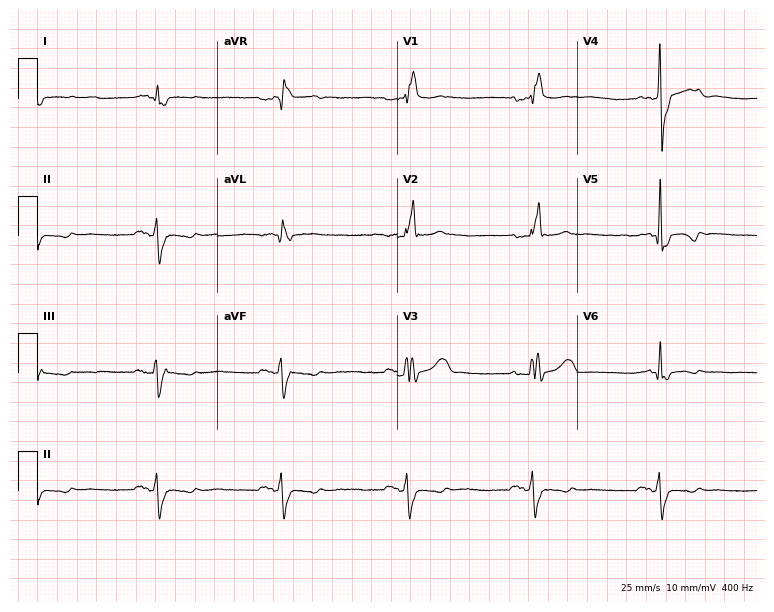
Resting 12-lead electrocardiogram (7.3-second recording at 400 Hz). Patient: a 72-year-old man. The tracing shows right bundle branch block (RBBB), sinus bradycardia (a sinus rate of 50 beats per minute or less).